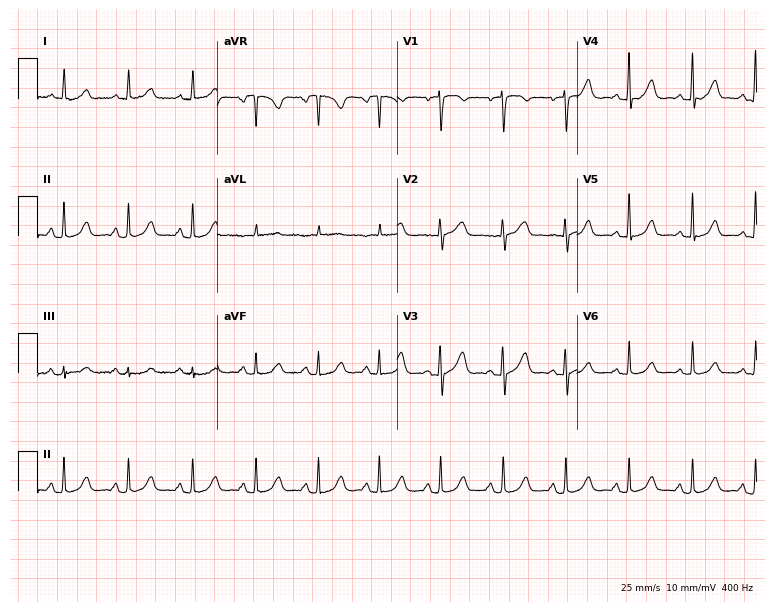
Electrocardiogram, a woman, 62 years old. Overall reading on record: normal ECG.